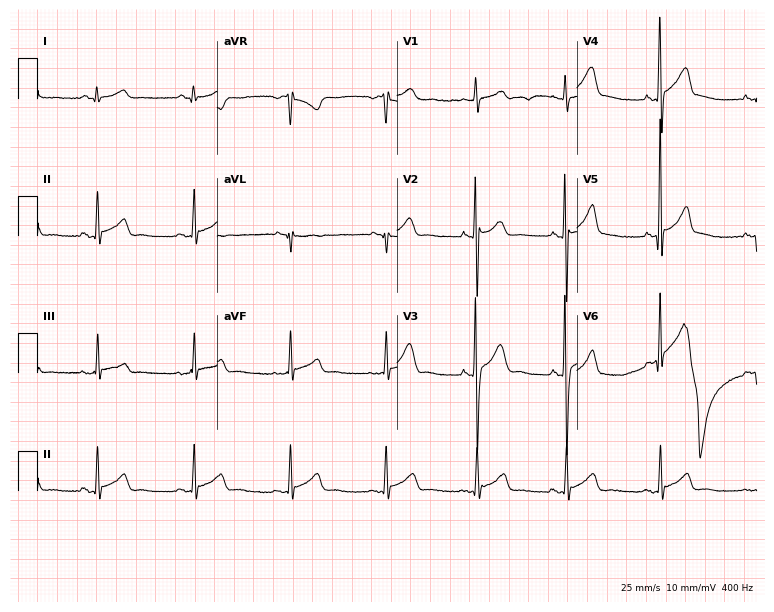
12-lead ECG from a male, 22 years old (7.3-second recording at 400 Hz). Recorded interpretation: within normal limits.